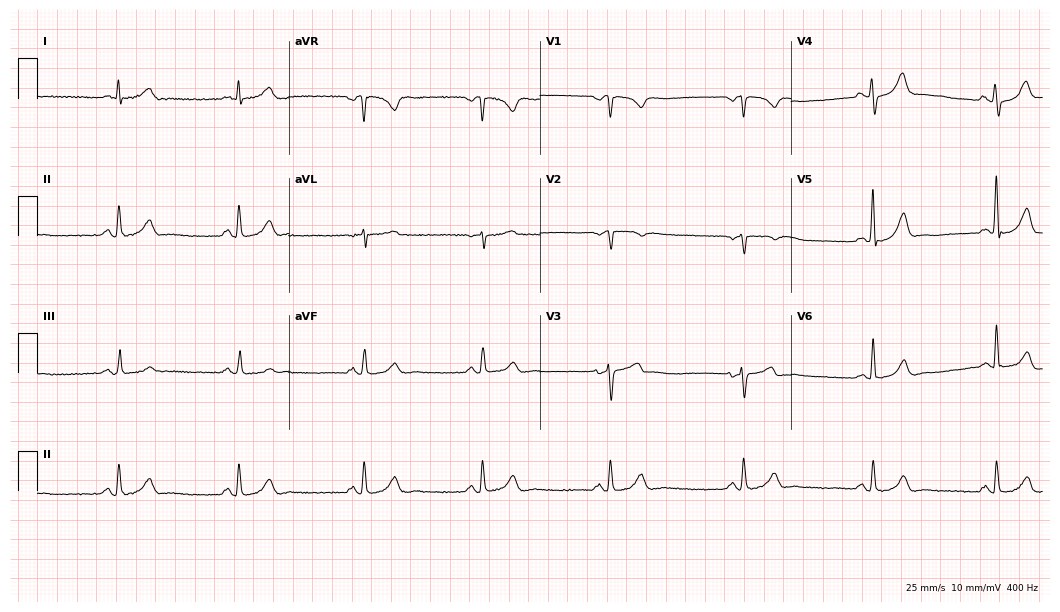
ECG — a 43-year-old male patient. Findings include sinus bradycardia (a sinus rate of 50 beats per minute or less).